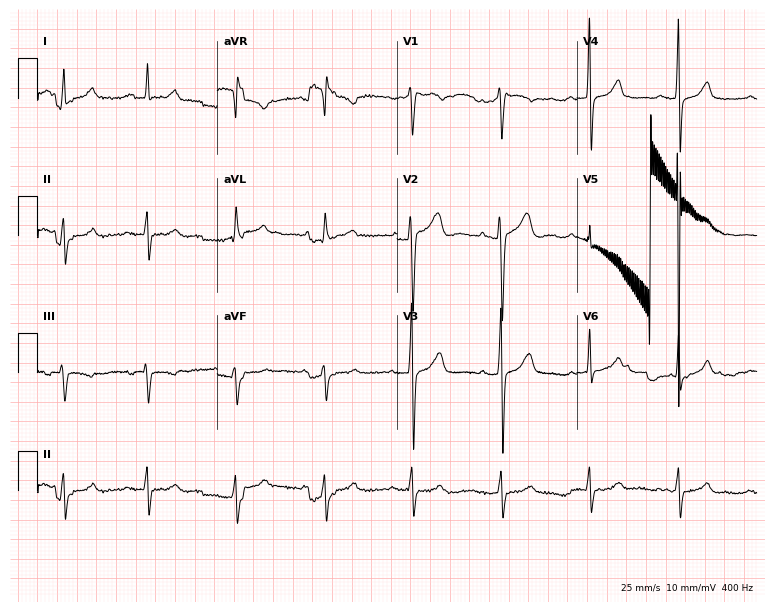
12-lead ECG from a female patient, 54 years old (7.3-second recording at 400 Hz). No first-degree AV block, right bundle branch block (RBBB), left bundle branch block (LBBB), sinus bradycardia, atrial fibrillation (AF) or sinus tachycardia recorded for this tracing. Only these six findings were labelled.